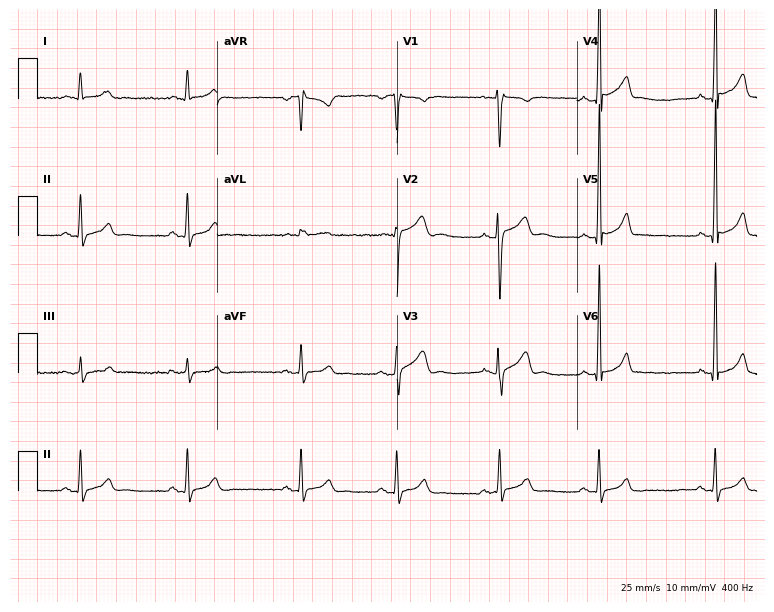
Standard 12-lead ECG recorded from a man, 22 years old (7.3-second recording at 400 Hz). Read as a normal ECG.